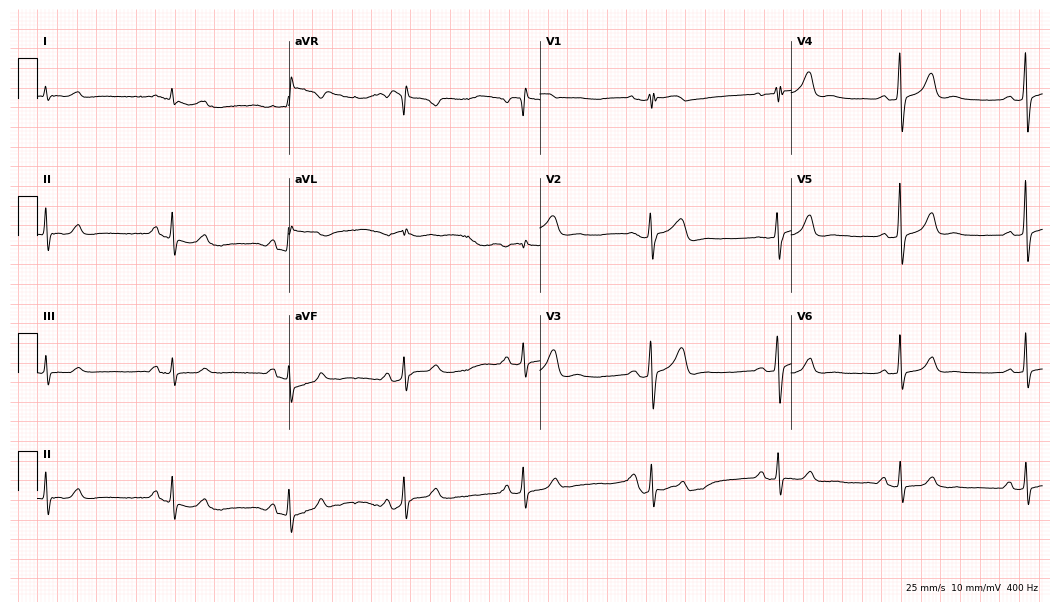
ECG — a man, 81 years old. Labelled as a normal ECG.